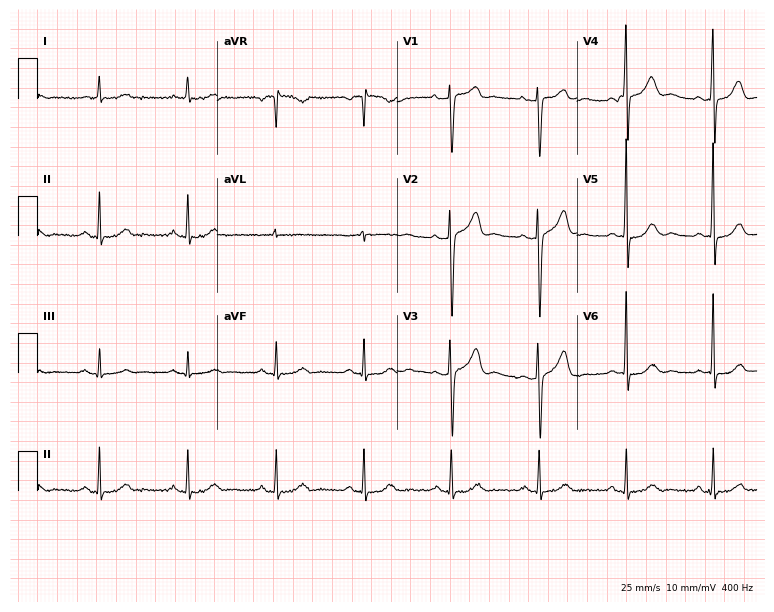
Standard 12-lead ECG recorded from a male, 64 years old. None of these six findings is recorded: first-degree AV block, right bundle branch block (RBBB), left bundle branch block (LBBB), sinus bradycardia, atrial fibrillation (AF), sinus tachycardia. Other findings, if any, are not listed.